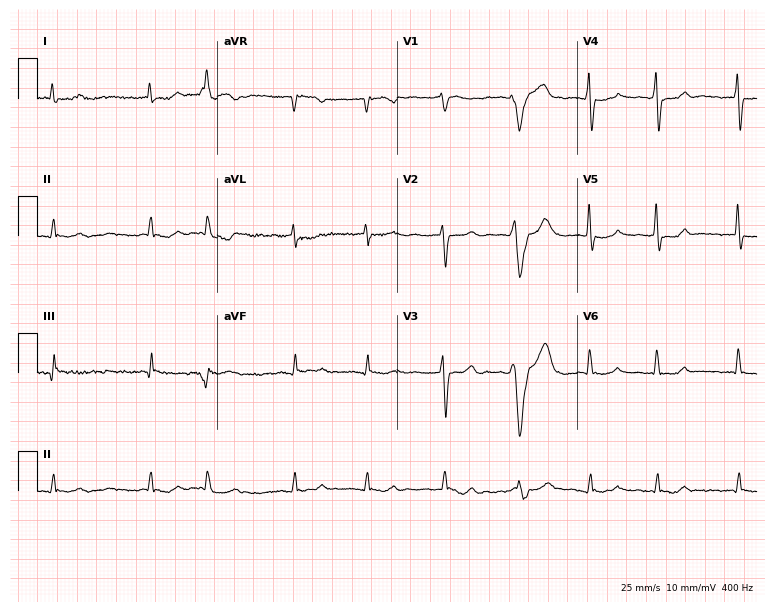
Standard 12-lead ECG recorded from a 71-year-old male patient (7.3-second recording at 400 Hz). The tracing shows atrial fibrillation (AF).